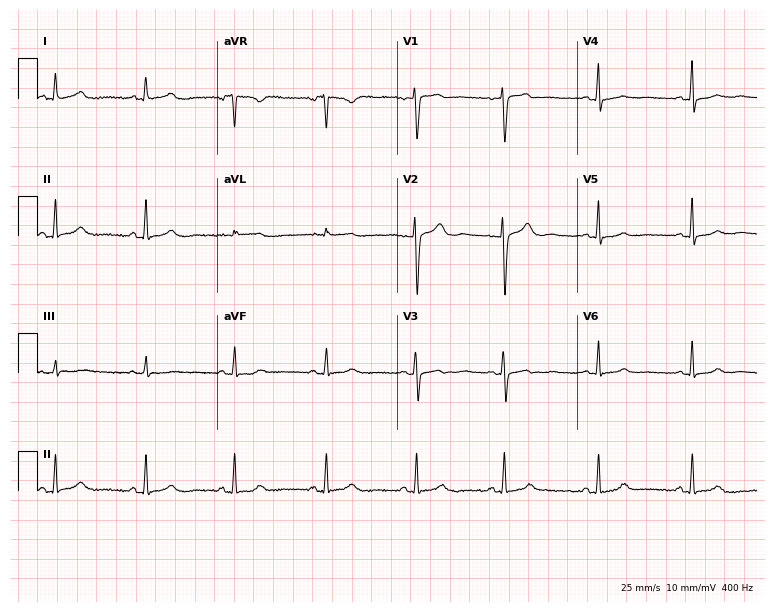
12-lead ECG from a 45-year-old woman. Recorded interpretation: within normal limits.